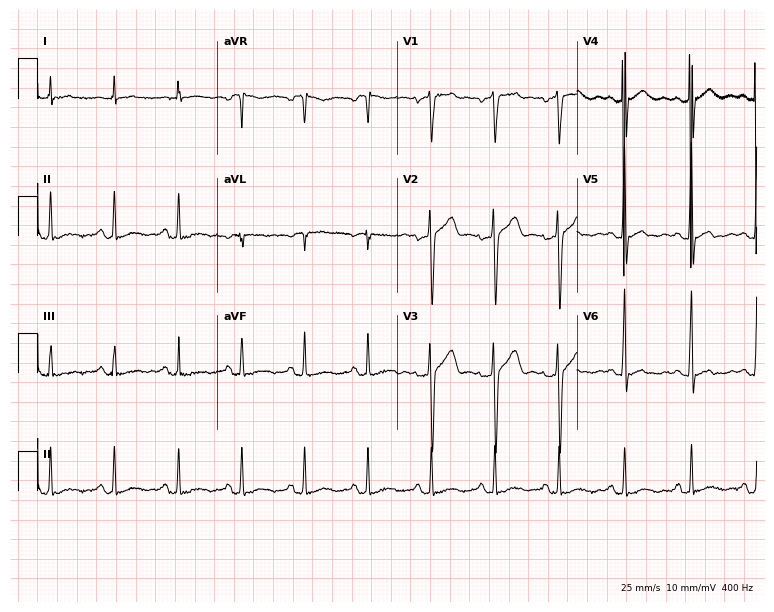
Electrocardiogram (7.3-second recording at 400 Hz), a male patient, 33 years old. Overall reading on record: normal ECG.